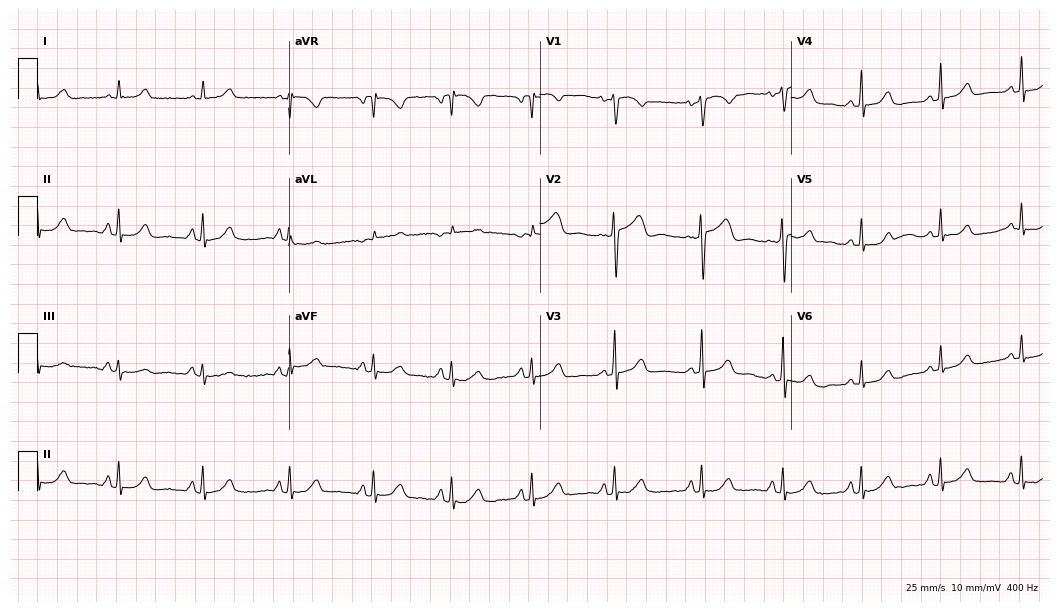
Resting 12-lead electrocardiogram (10.2-second recording at 400 Hz). Patient: a 70-year-old woman. Read as a normal ECG.